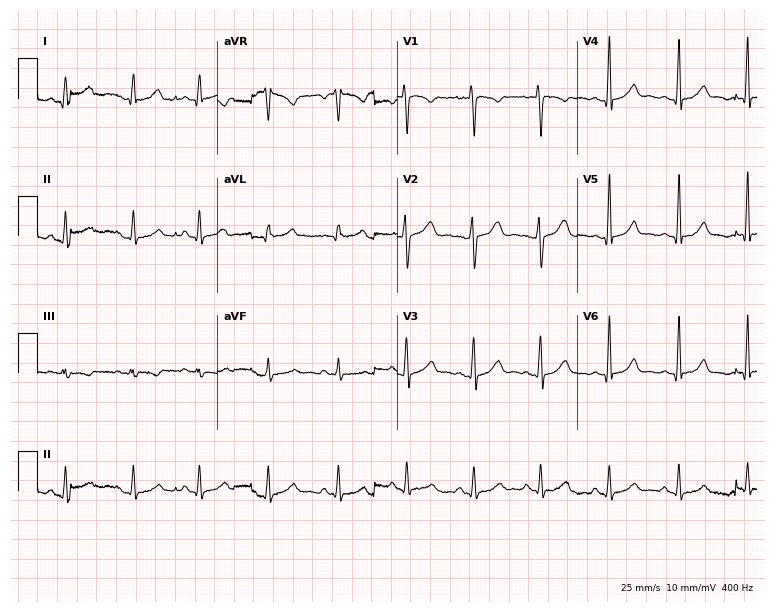
Electrocardiogram (7.3-second recording at 400 Hz), a 21-year-old female patient. Overall reading on record: normal ECG.